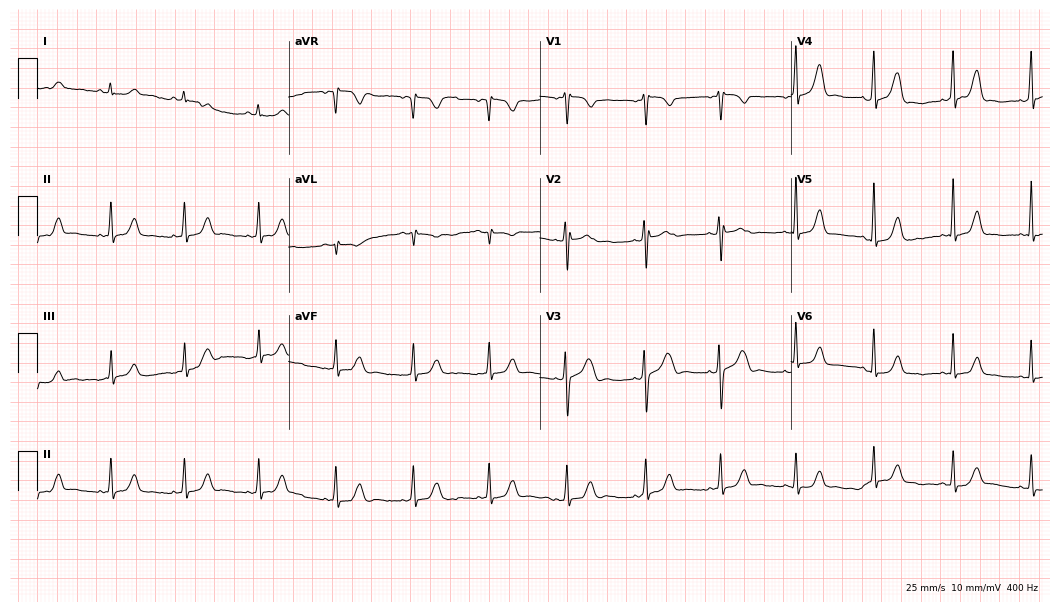
12-lead ECG from a woman, 44 years old. Labelled as a normal ECG.